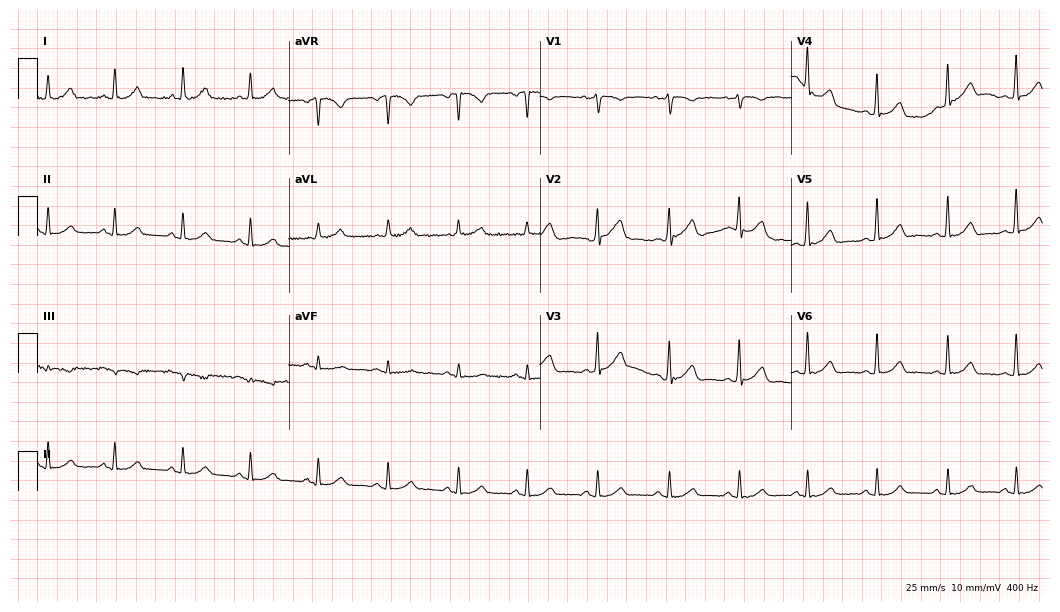
Standard 12-lead ECG recorded from a female patient, 54 years old. Read as a normal ECG.